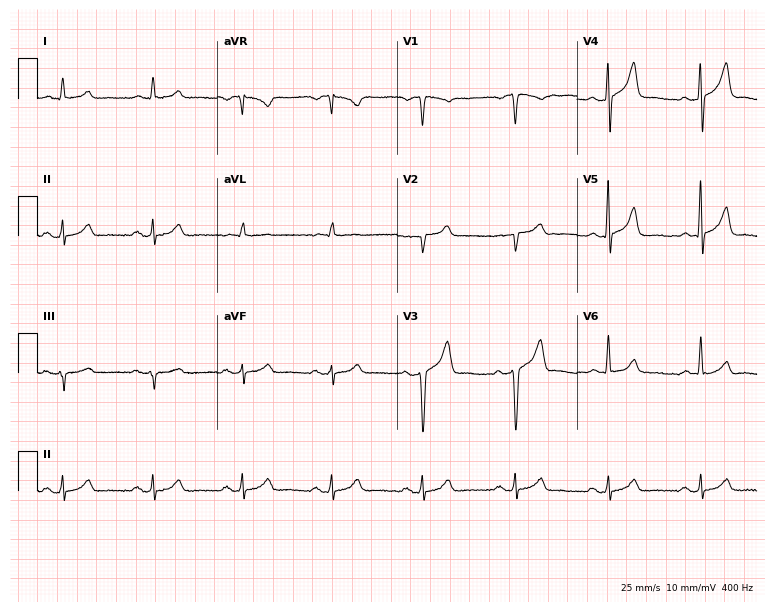
Electrocardiogram, a 58-year-old male patient. Overall reading on record: normal ECG.